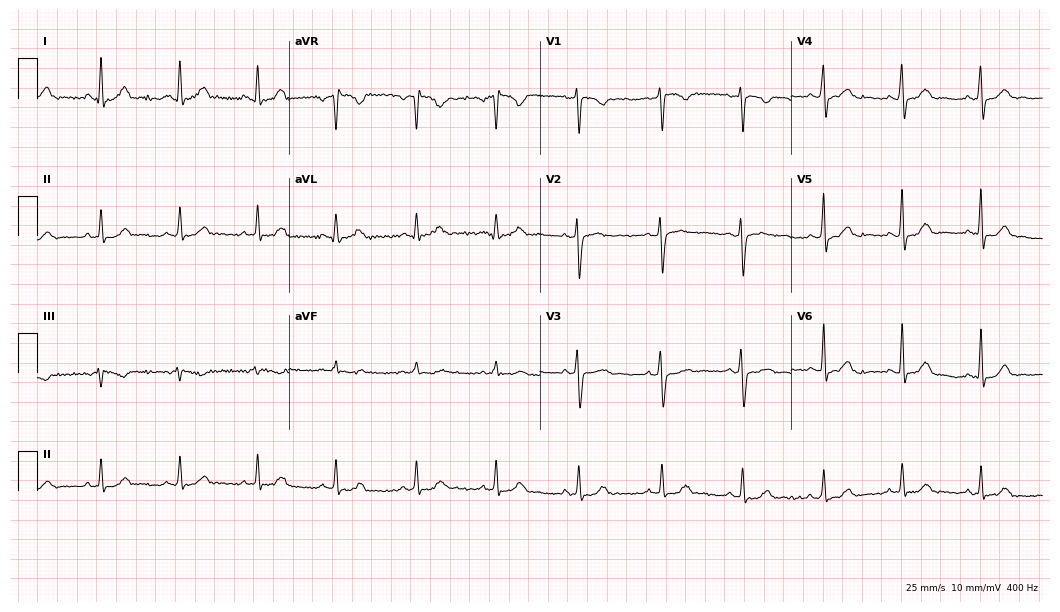
Electrocardiogram, a woman, 38 years old. Overall reading on record: normal ECG.